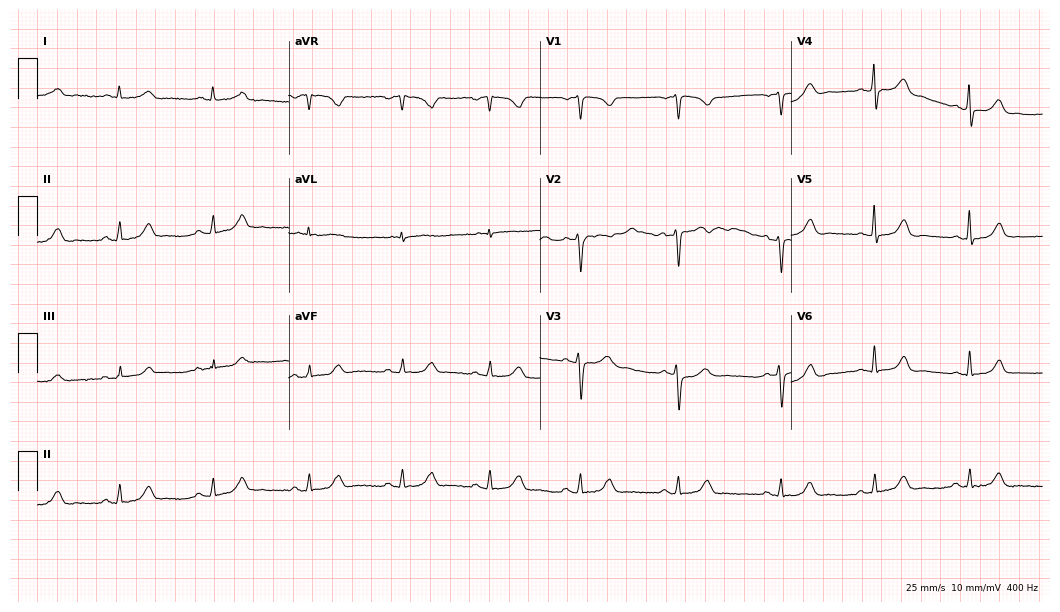
Resting 12-lead electrocardiogram (10.2-second recording at 400 Hz). Patient: a female, 44 years old. Read as a normal ECG.